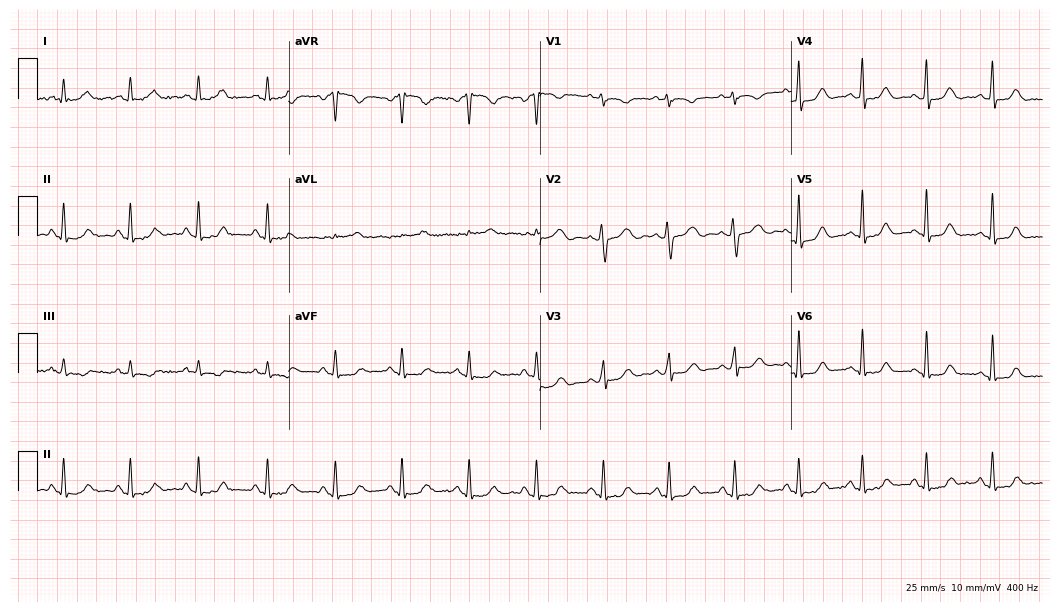
12-lead ECG from a 42-year-old woman (10.2-second recording at 400 Hz). No first-degree AV block, right bundle branch block, left bundle branch block, sinus bradycardia, atrial fibrillation or sinus tachycardia recorded for this tracing. Only these six findings were labelled.